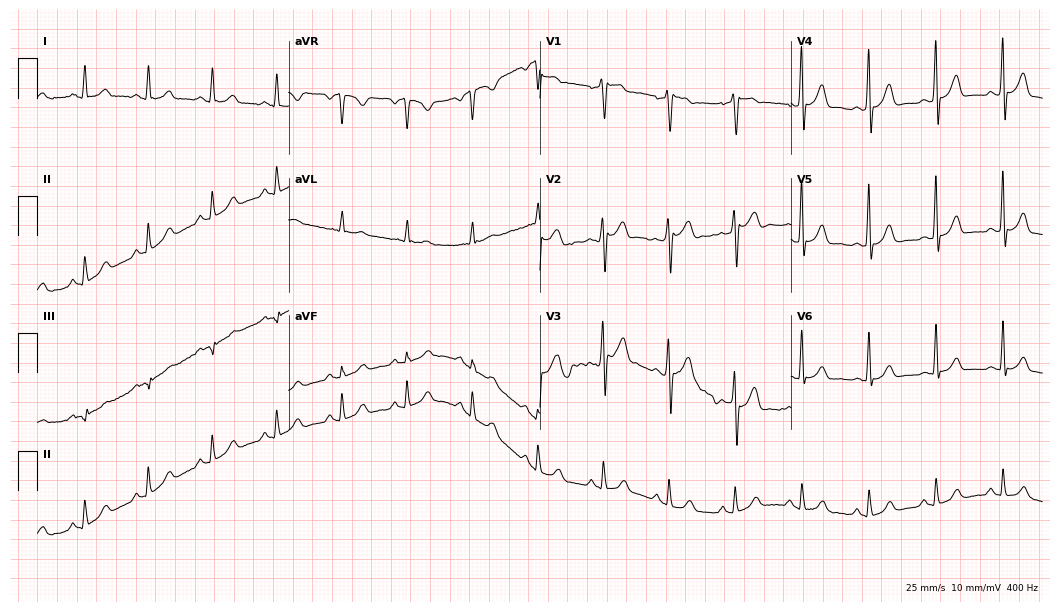
ECG — a 58-year-old male. Screened for six findings — first-degree AV block, right bundle branch block, left bundle branch block, sinus bradycardia, atrial fibrillation, sinus tachycardia — none is recorded. Findings outside these six are not listed.